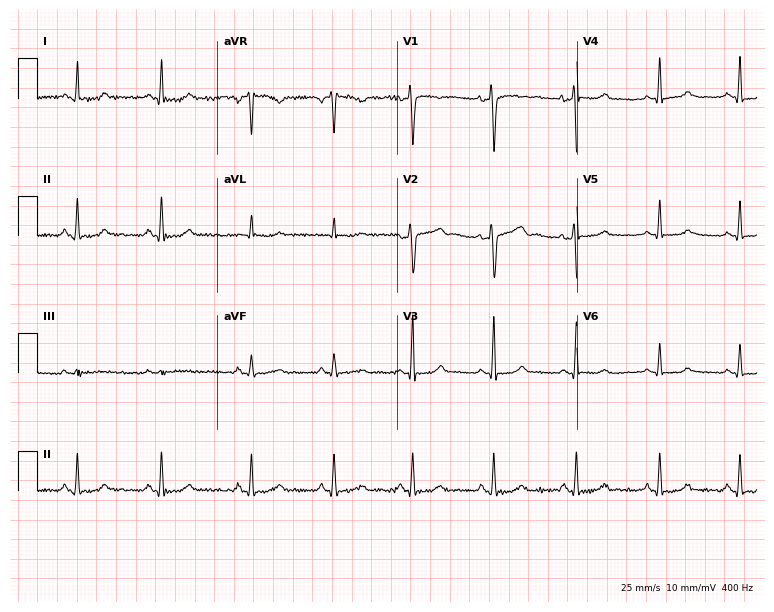
Electrocardiogram, a female, 36 years old. Overall reading on record: normal ECG.